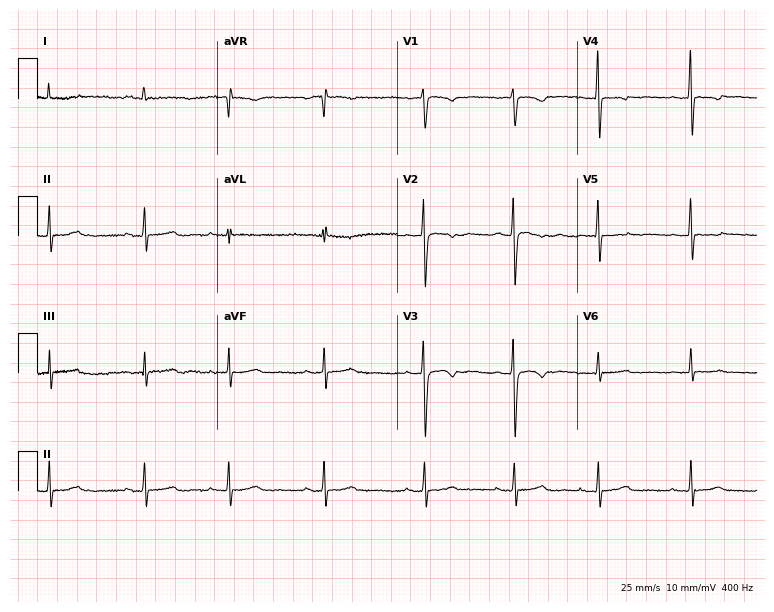
Resting 12-lead electrocardiogram. Patient: a female, 22 years old. None of these six findings is recorded: first-degree AV block, right bundle branch block, left bundle branch block, sinus bradycardia, atrial fibrillation, sinus tachycardia. Only these six findings were labelled.